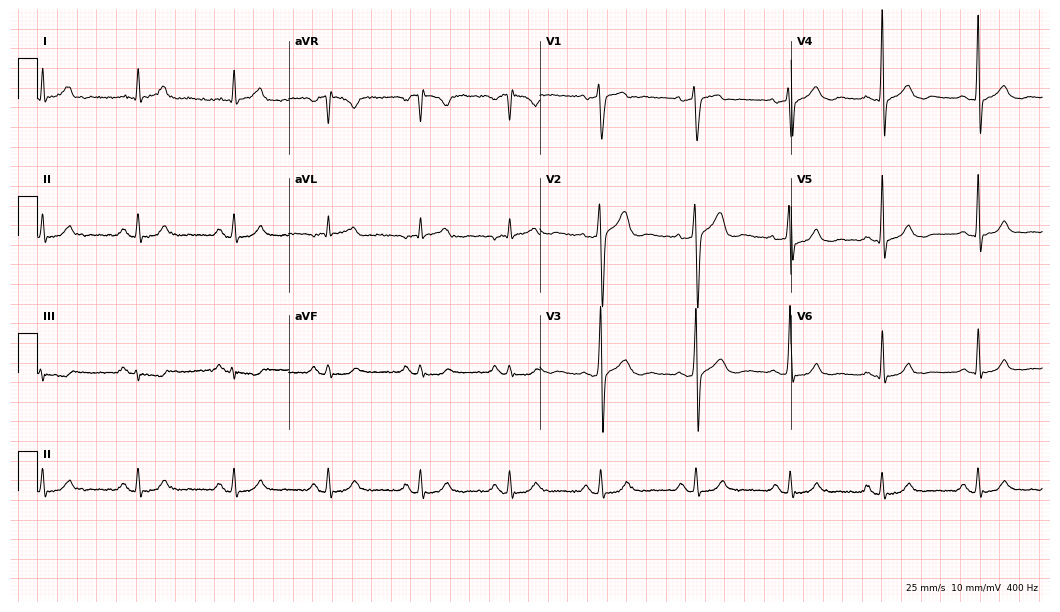
12-lead ECG (10.2-second recording at 400 Hz) from a man, 53 years old. Labelled as a normal ECG.